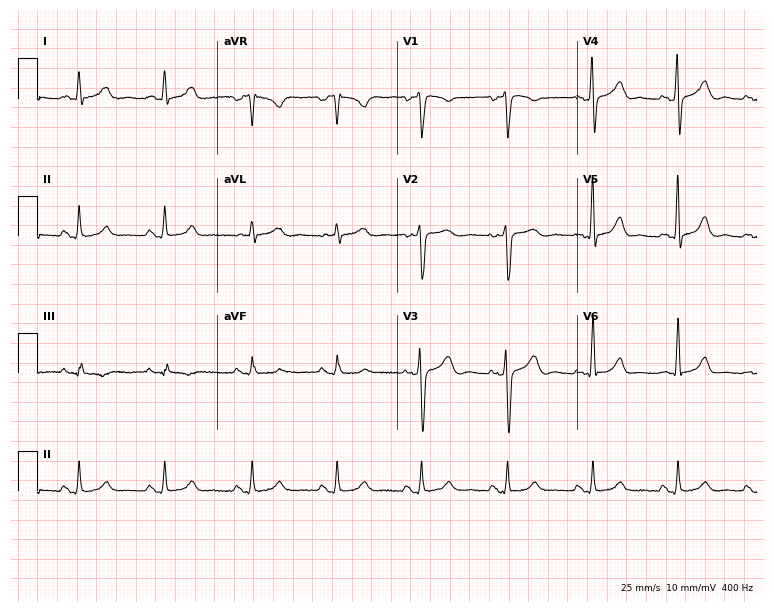
Standard 12-lead ECG recorded from a male patient, 64 years old. Read as a normal ECG.